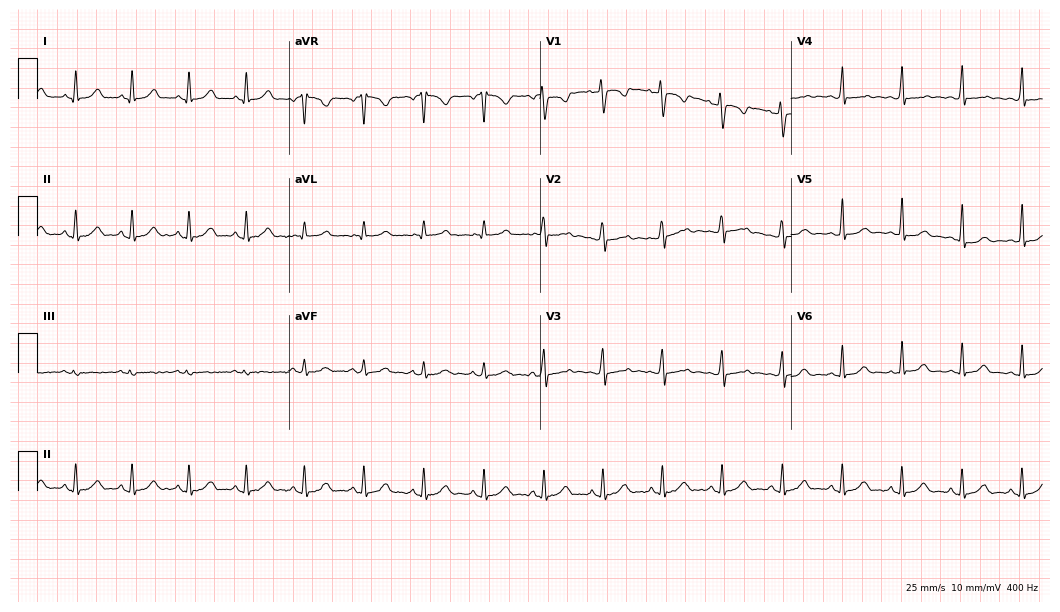
ECG — a 17-year-old woman. Labelled as a normal ECG.